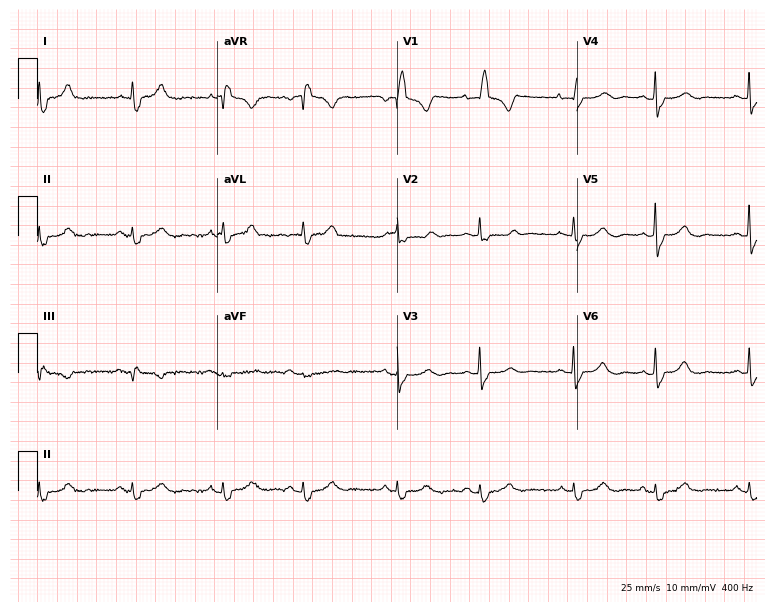
Resting 12-lead electrocardiogram. Patient: a 77-year-old female. The tracing shows right bundle branch block.